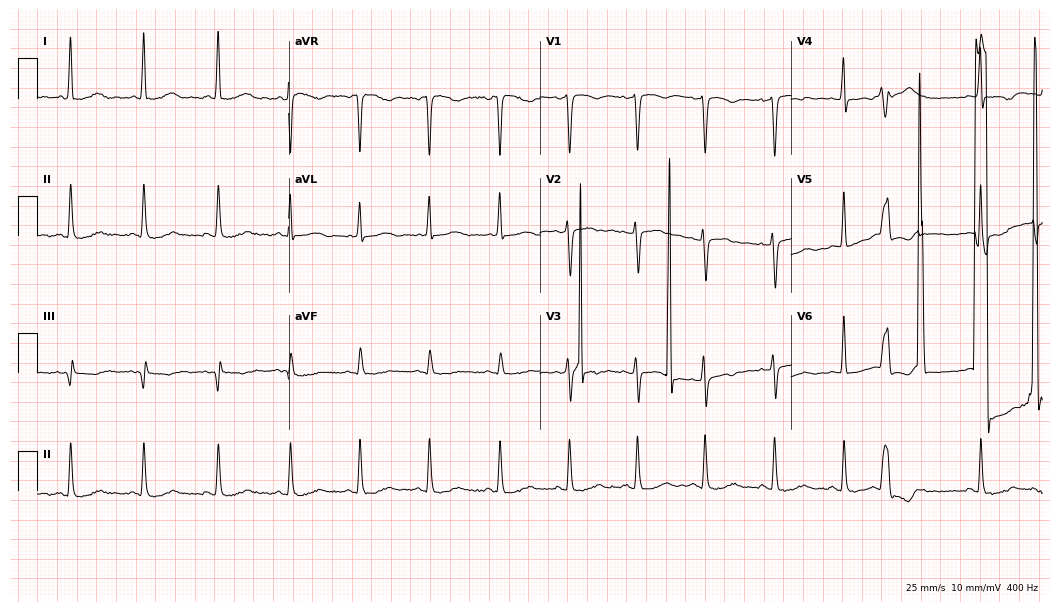
Resting 12-lead electrocardiogram (10.2-second recording at 400 Hz). Patient: a 55-year-old female. None of these six findings is recorded: first-degree AV block, right bundle branch block, left bundle branch block, sinus bradycardia, atrial fibrillation, sinus tachycardia.